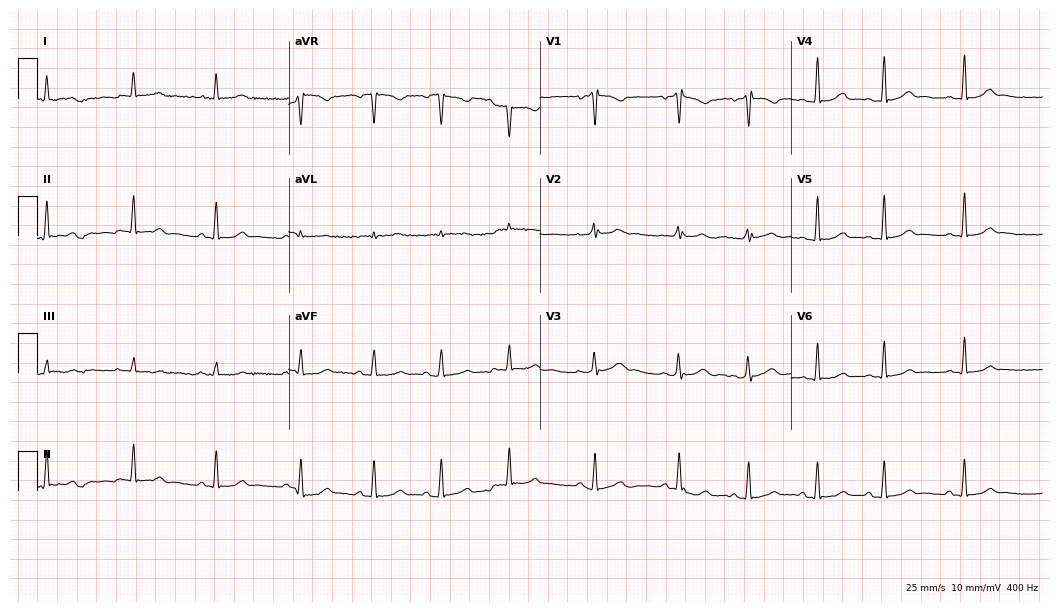
12-lead ECG from a female, 21 years old. Recorded interpretation: within normal limits.